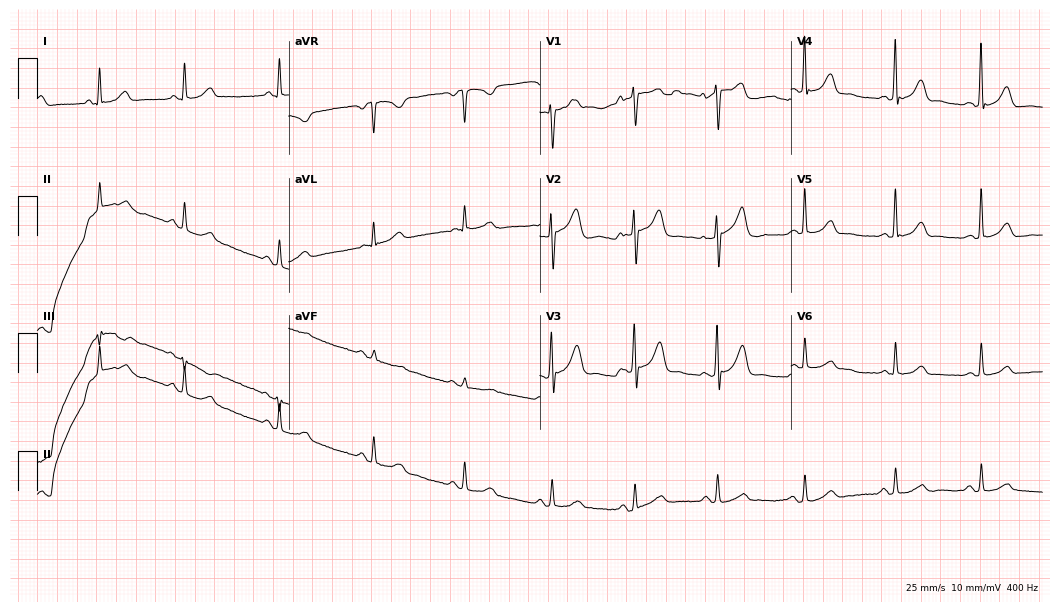
12-lead ECG (10.2-second recording at 400 Hz) from a 71-year-old female. Labelled as a normal ECG.